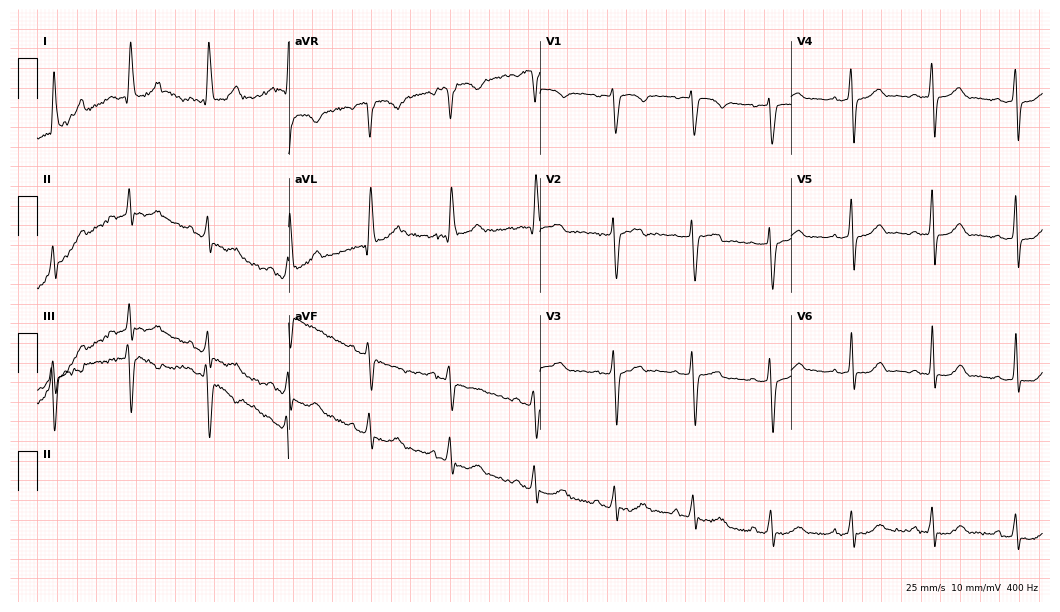
12-lead ECG from a female, 47 years old. No first-degree AV block, right bundle branch block (RBBB), left bundle branch block (LBBB), sinus bradycardia, atrial fibrillation (AF) or sinus tachycardia recorded for this tracing. Other findings, if any, are not listed.